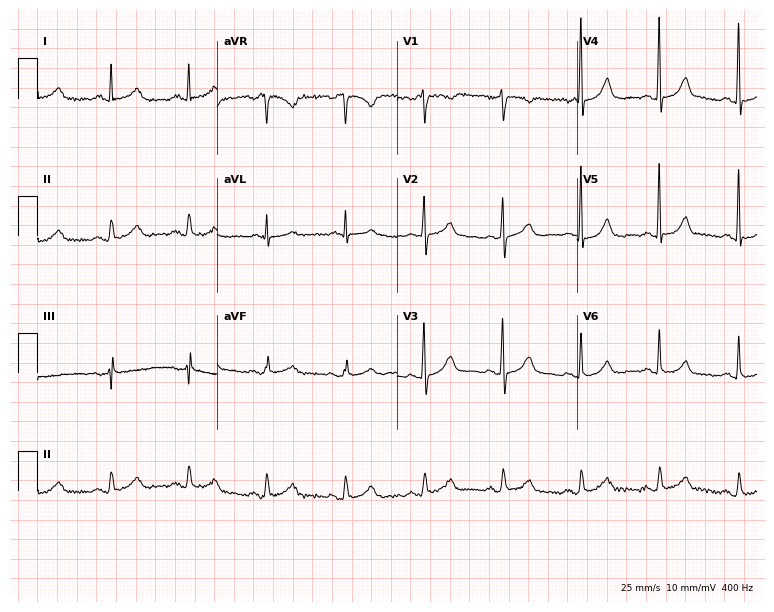
12-lead ECG from a female patient, 68 years old (7.3-second recording at 400 Hz). Recorded interpretation: within normal limits.